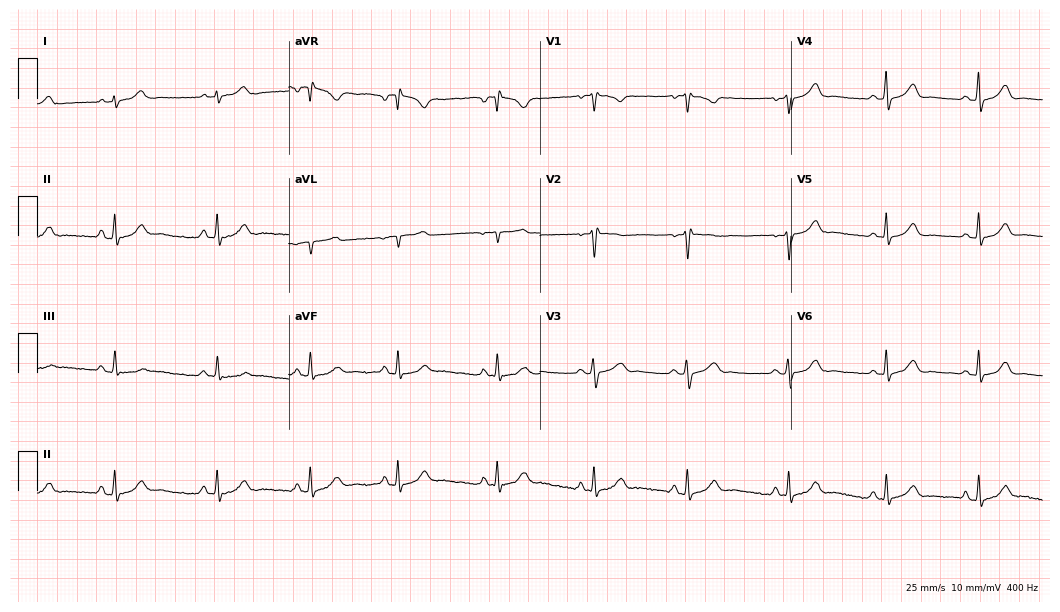
Electrocardiogram, a woman, 18 years old. Of the six screened findings (first-degree AV block, right bundle branch block (RBBB), left bundle branch block (LBBB), sinus bradycardia, atrial fibrillation (AF), sinus tachycardia), none is recorded.